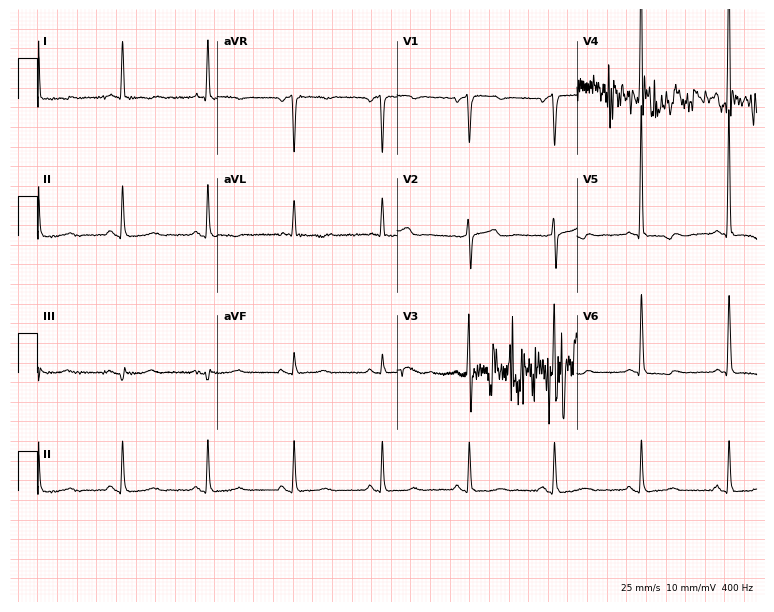
ECG (7.3-second recording at 400 Hz) — a man, 69 years old. Screened for six findings — first-degree AV block, right bundle branch block, left bundle branch block, sinus bradycardia, atrial fibrillation, sinus tachycardia — none is recorded. Other findings, if any, are not listed.